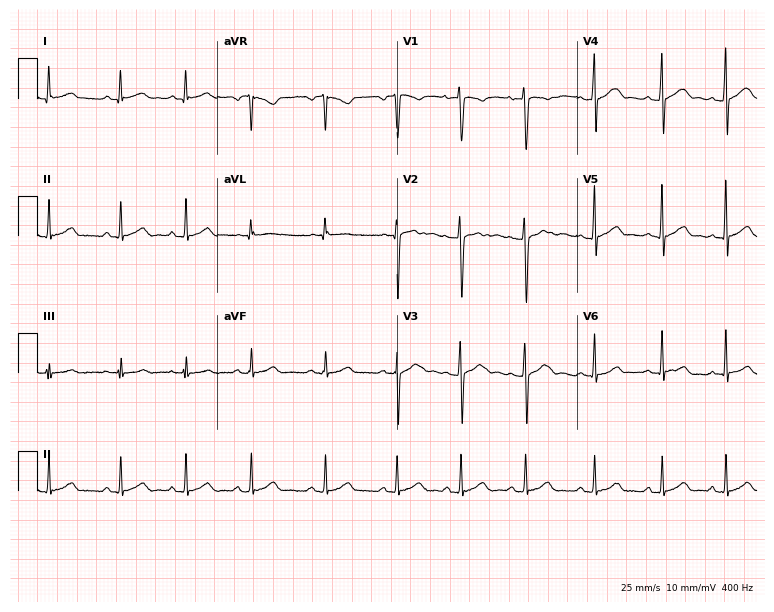
ECG — a female, 23 years old. Labelled as a normal ECG.